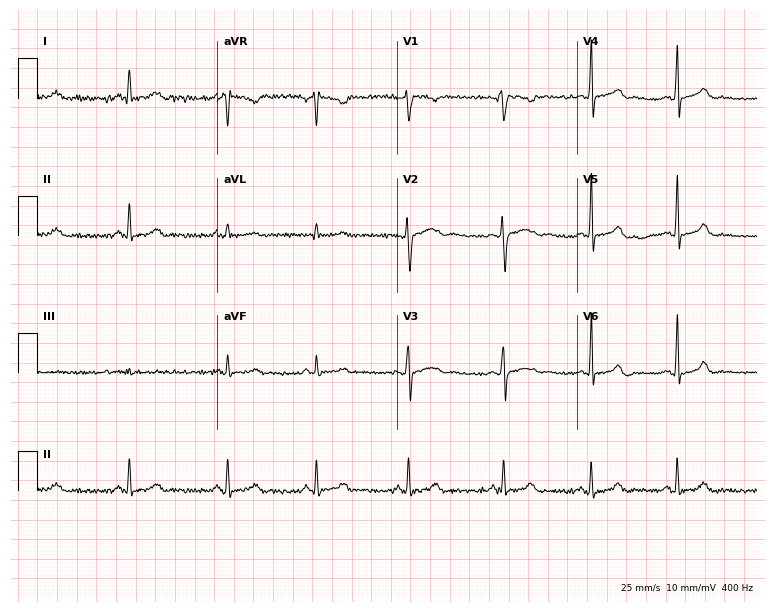
12-lead ECG (7.3-second recording at 400 Hz) from a female, 24 years old. Labelled as a normal ECG.